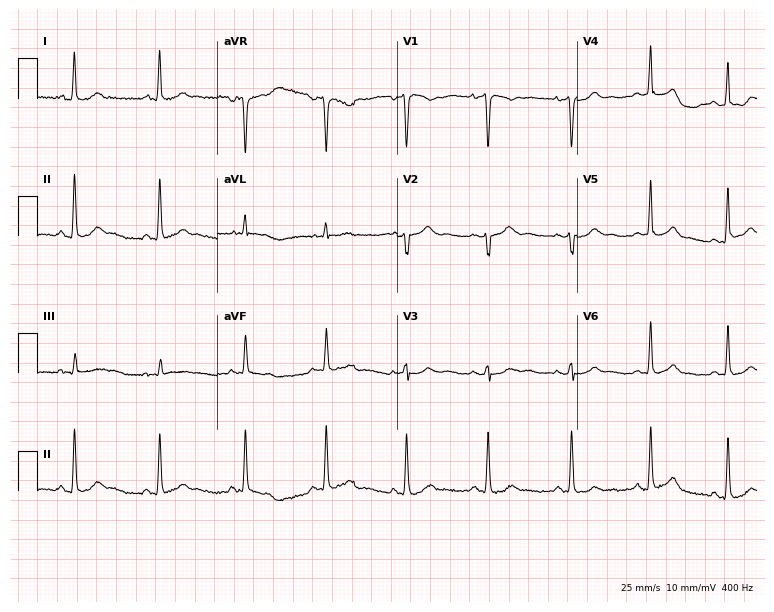
Standard 12-lead ECG recorded from a female patient, 20 years old. None of these six findings is recorded: first-degree AV block, right bundle branch block, left bundle branch block, sinus bradycardia, atrial fibrillation, sinus tachycardia. Findings outside these six are not listed.